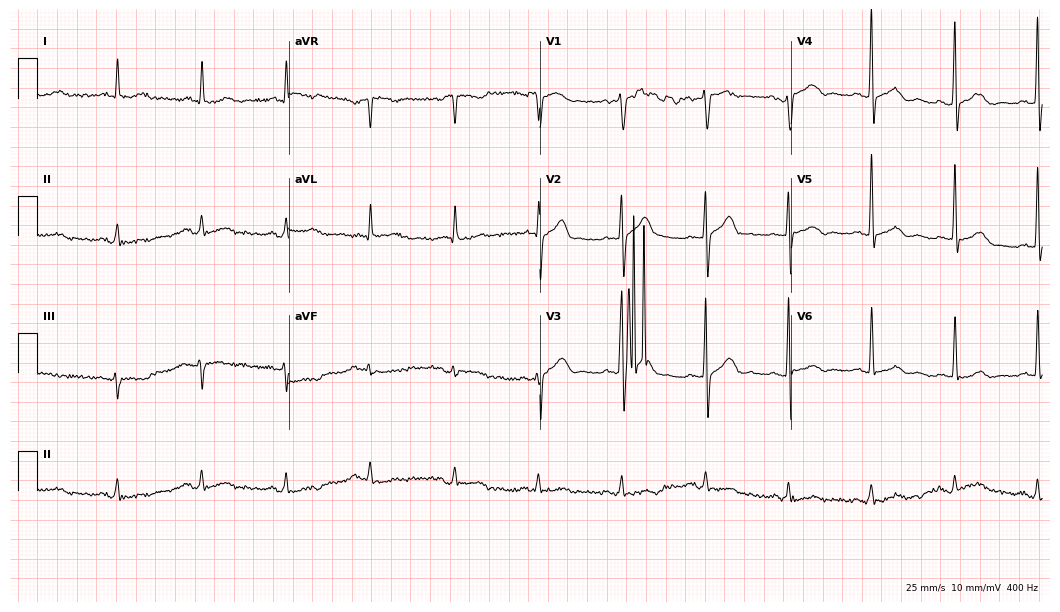
12-lead ECG (10.2-second recording at 400 Hz) from a 76-year-old man. Screened for six findings — first-degree AV block, right bundle branch block, left bundle branch block, sinus bradycardia, atrial fibrillation, sinus tachycardia — none is recorded.